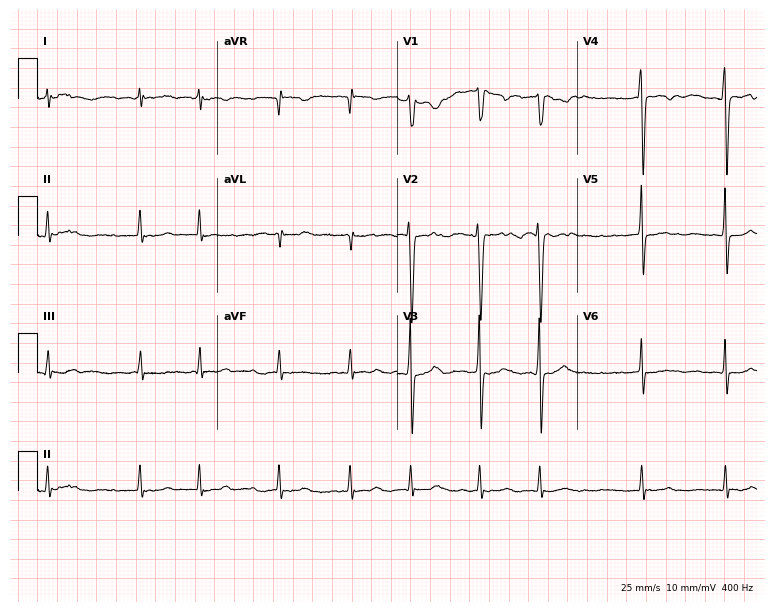
Standard 12-lead ECG recorded from a woman, 50 years old. The tracing shows atrial fibrillation.